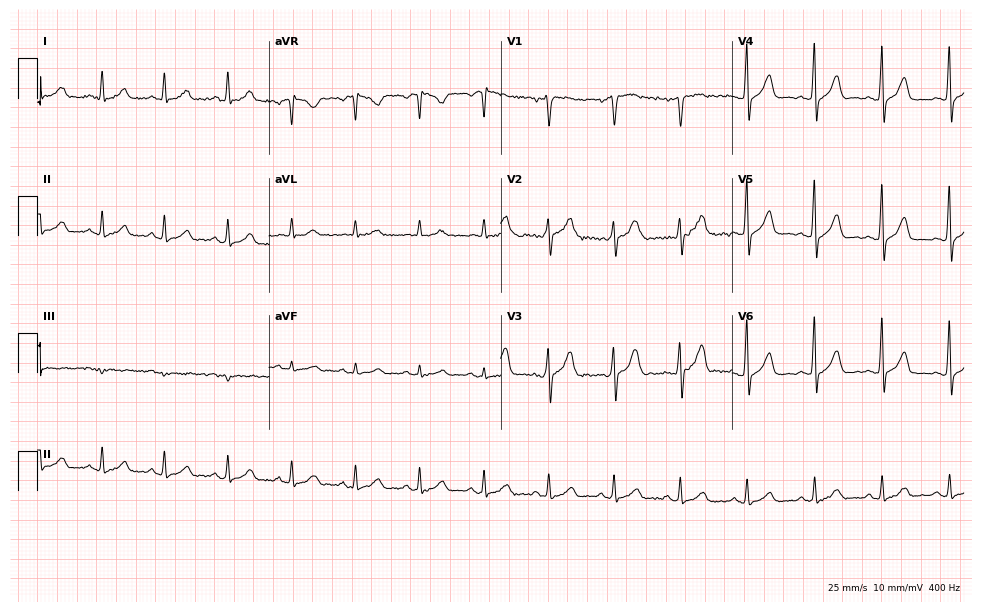
ECG (9.4-second recording at 400 Hz) — a 50-year-old male. Labelled as a normal ECG.